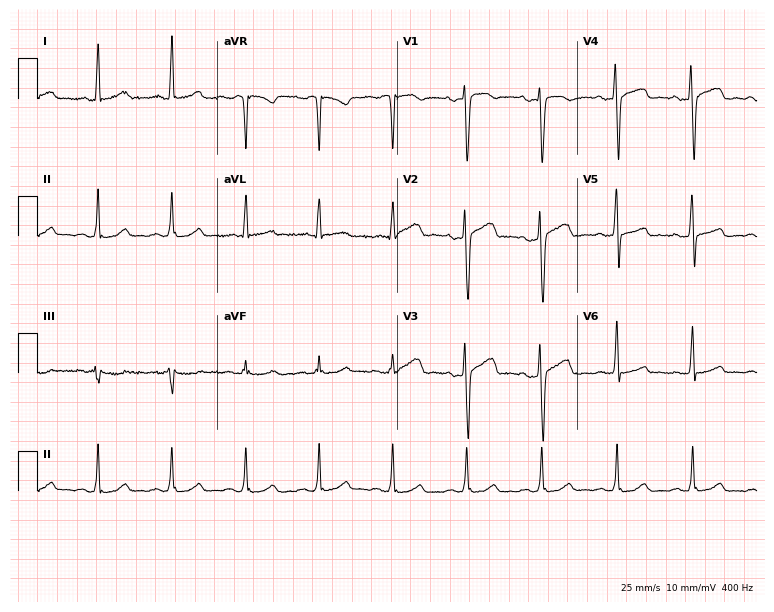
ECG — a female patient, 41 years old. Labelled as a normal ECG.